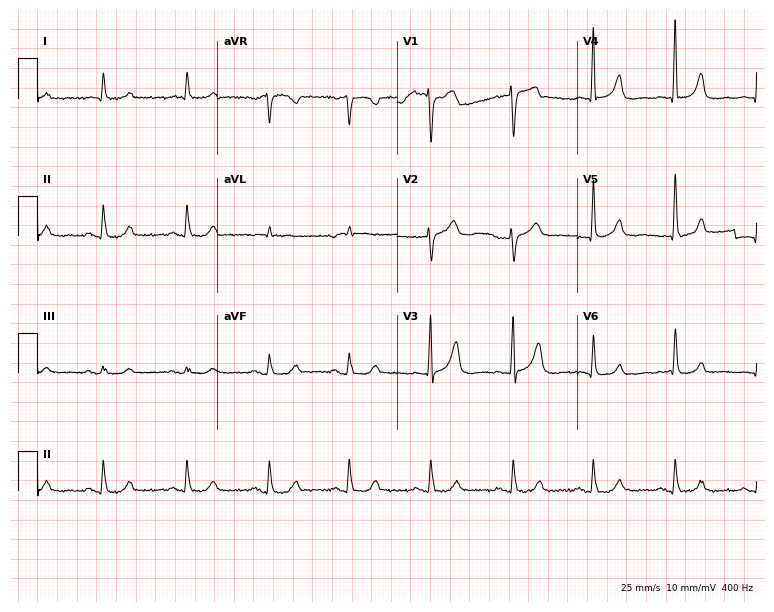
12-lead ECG from a male patient, 84 years old (7.3-second recording at 400 Hz). No first-degree AV block, right bundle branch block, left bundle branch block, sinus bradycardia, atrial fibrillation or sinus tachycardia recorded for this tracing.